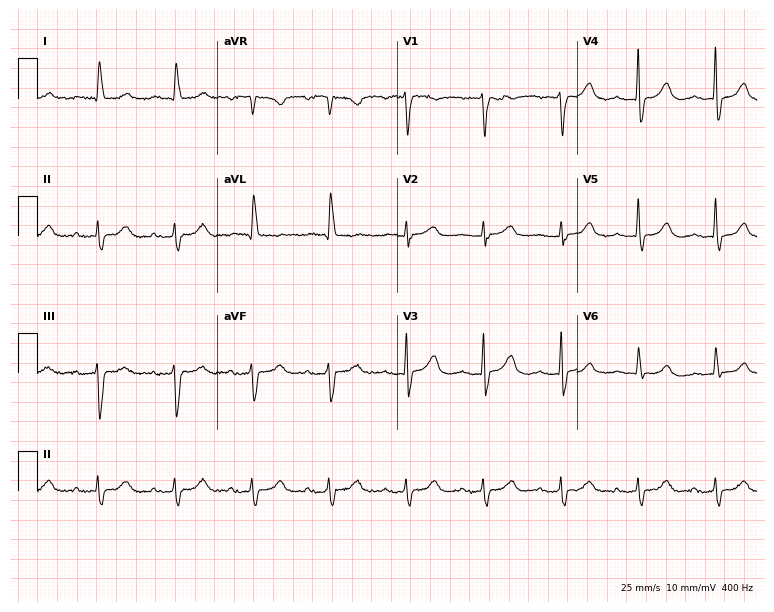
12-lead ECG from a 76-year-old female. Shows first-degree AV block.